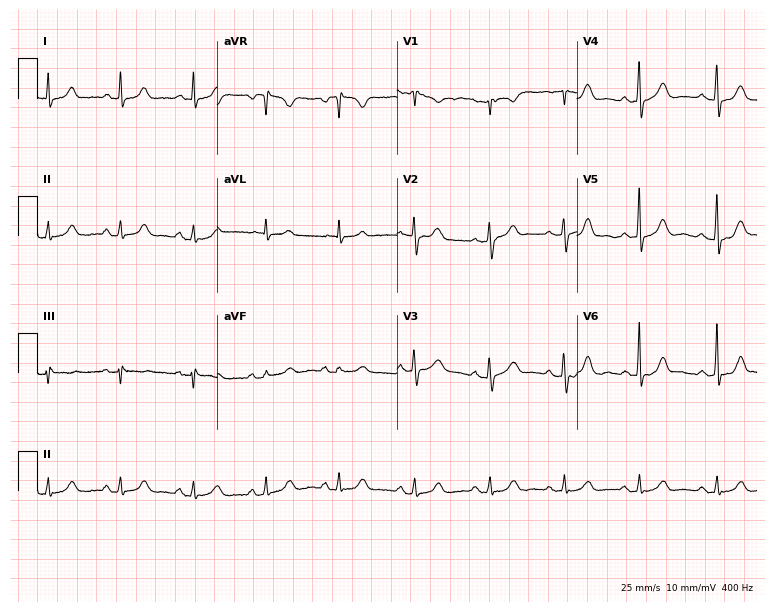
Resting 12-lead electrocardiogram. Patient: a 42-year-old woman. None of these six findings is recorded: first-degree AV block, right bundle branch block, left bundle branch block, sinus bradycardia, atrial fibrillation, sinus tachycardia.